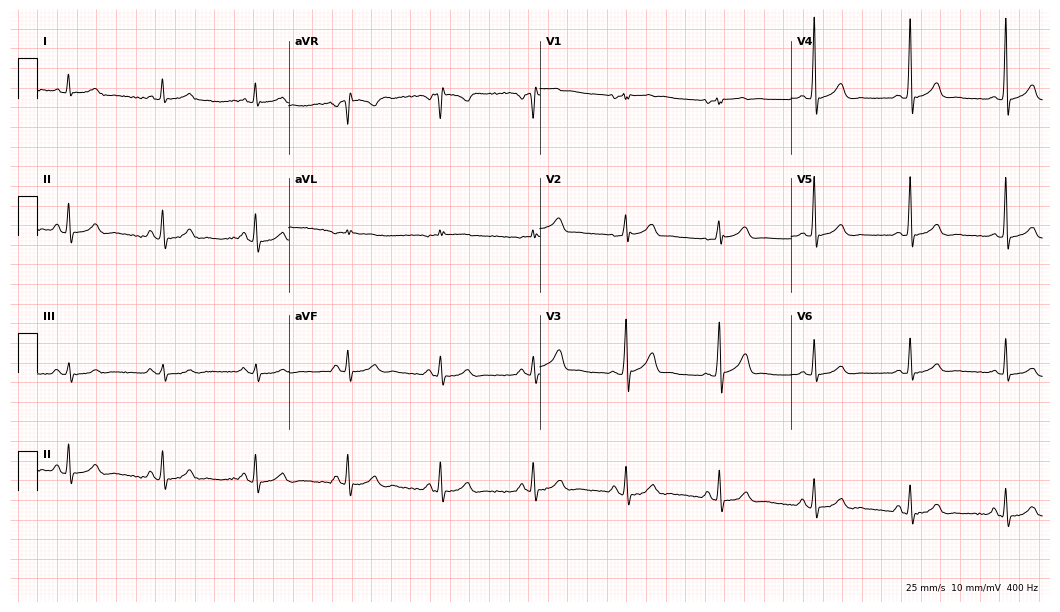
12-lead ECG from a man, 71 years old. Labelled as a normal ECG.